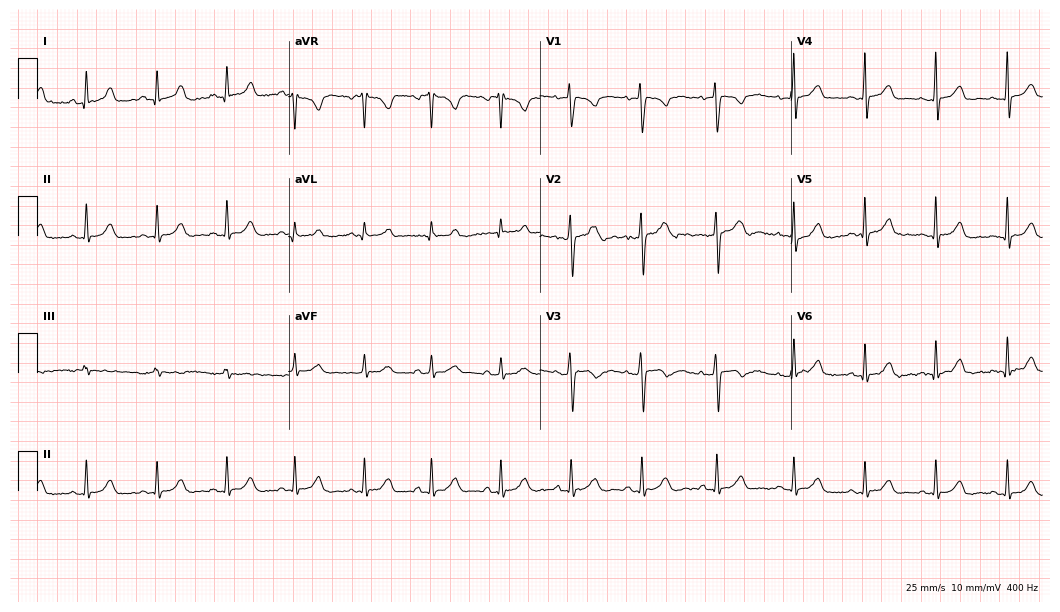
Resting 12-lead electrocardiogram (10.2-second recording at 400 Hz). Patient: an 18-year-old female. Read as a normal ECG.